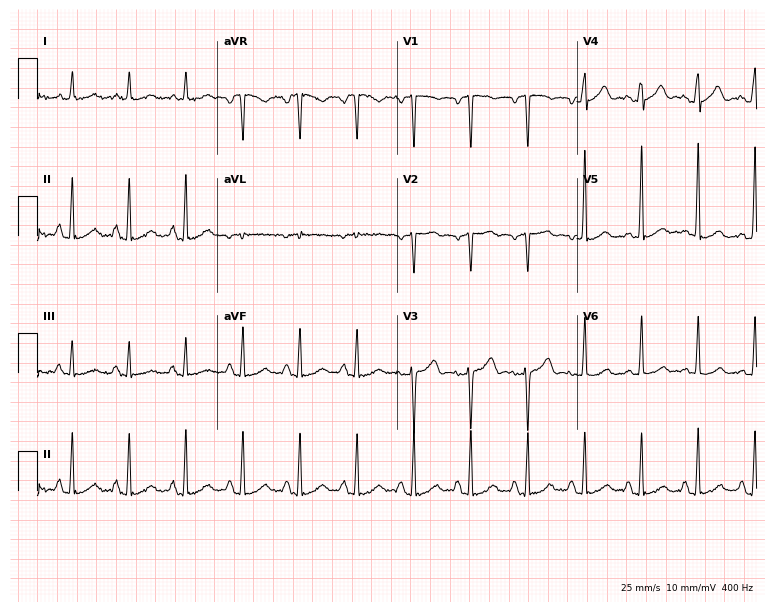
Standard 12-lead ECG recorded from a 78-year-old female (7.3-second recording at 400 Hz). The tracing shows sinus tachycardia (a sinus rate of 100 beats per minute or more).